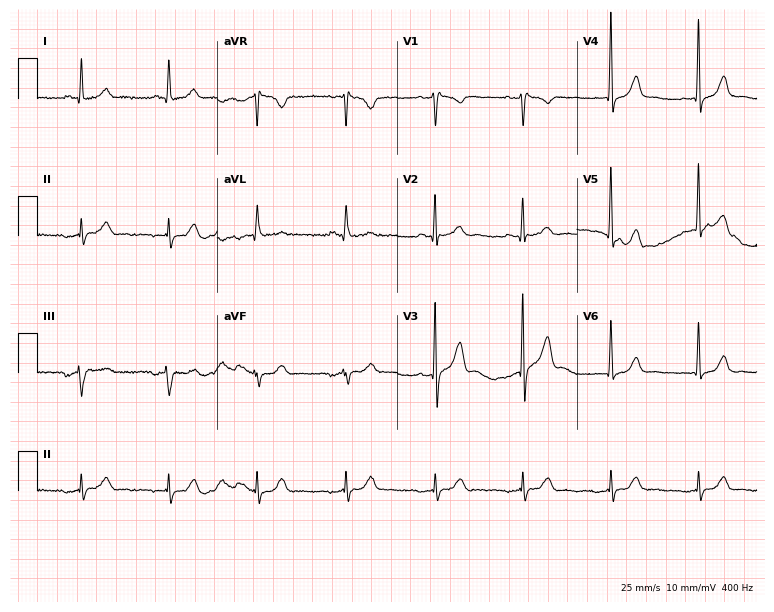
Standard 12-lead ECG recorded from a male patient, 61 years old. None of these six findings is recorded: first-degree AV block, right bundle branch block, left bundle branch block, sinus bradycardia, atrial fibrillation, sinus tachycardia.